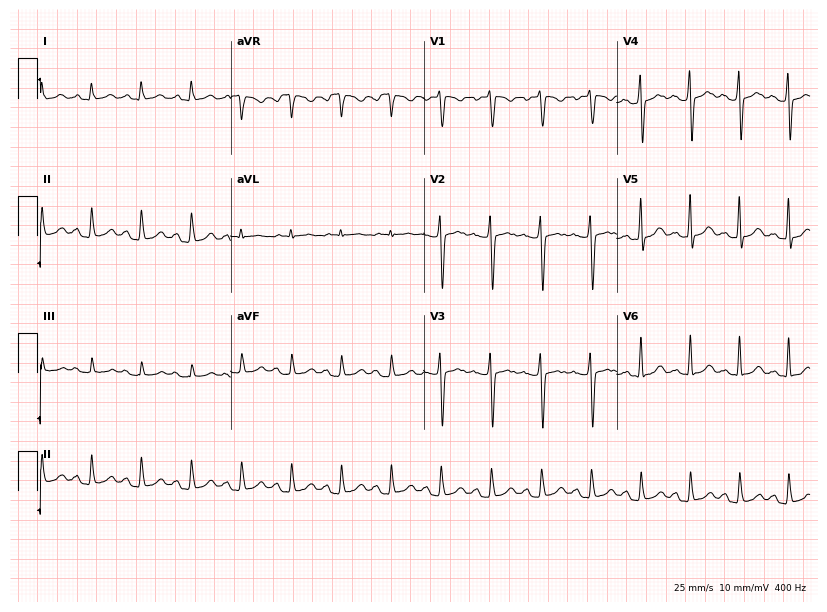
ECG (7.9-second recording at 400 Hz) — a male patient, 27 years old. Screened for six findings — first-degree AV block, right bundle branch block (RBBB), left bundle branch block (LBBB), sinus bradycardia, atrial fibrillation (AF), sinus tachycardia — none is recorded. Findings outside these six are not listed.